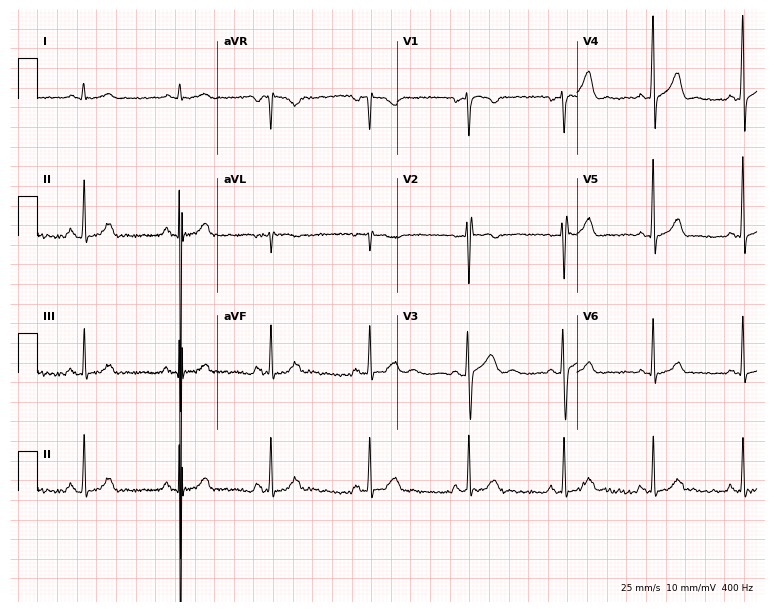
12-lead ECG from a 33-year-old man (7.3-second recording at 400 Hz). Recorded interpretation: within normal limits.